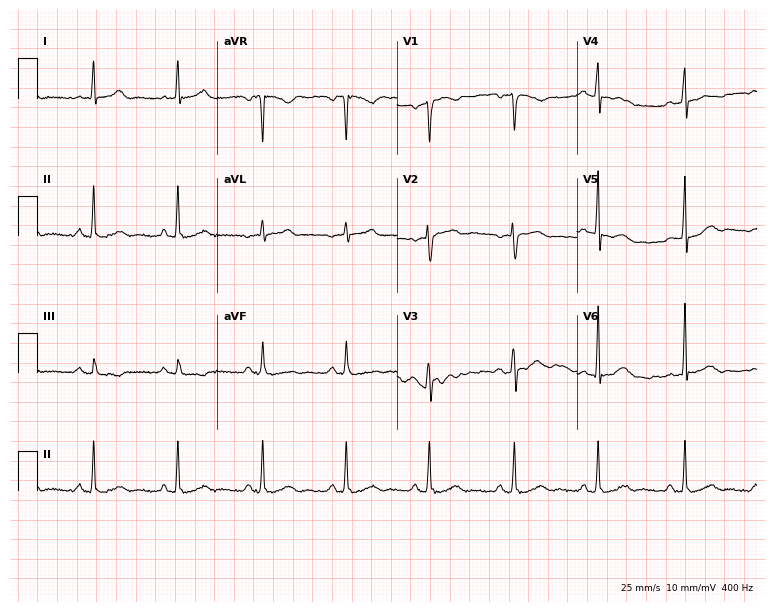
12-lead ECG from a woman, 37 years old. Screened for six findings — first-degree AV block, right bundle branch block (RBBB), left bundle branch block (LBBB), sinus bradycardia, atrial fibrillation (AF), sinus tachycardia — none is recorded.